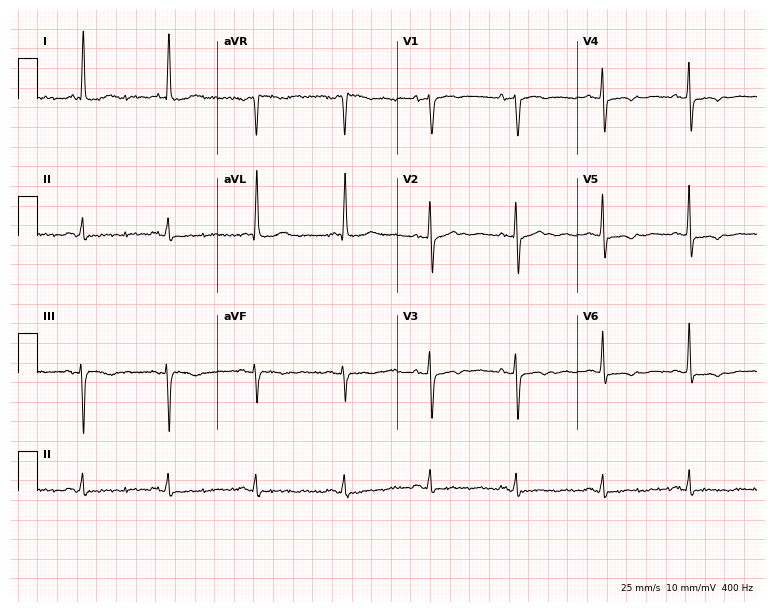
ECG — a 73-year-old female patient. Screened for six findings — first-degree AV block, right bundle branch block (RBBB), left bundle branch block (LBBB), sinus bradycardia, atrial fibrillation (AF), sinus tachycardia — none is recorded. Findings outside these six are not listed.